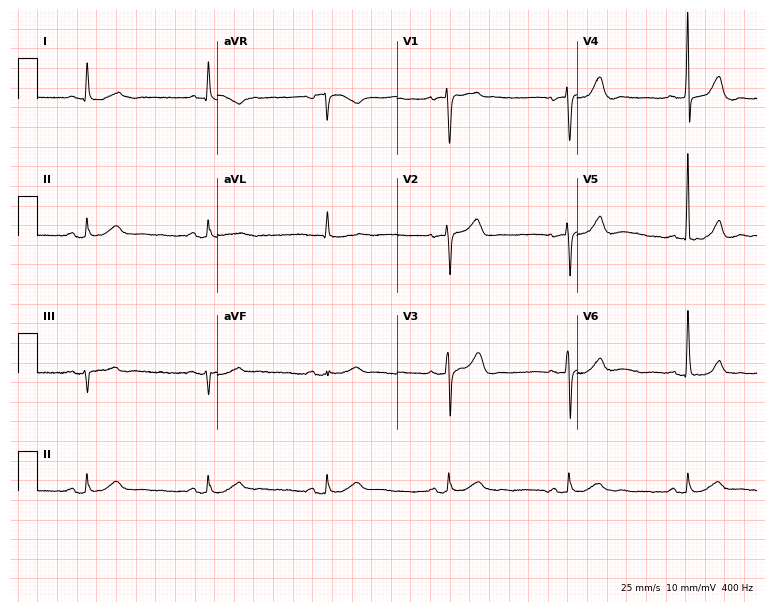
12-lead ECG from a 78-year-old man. Recorded interpretation: within normal limits.